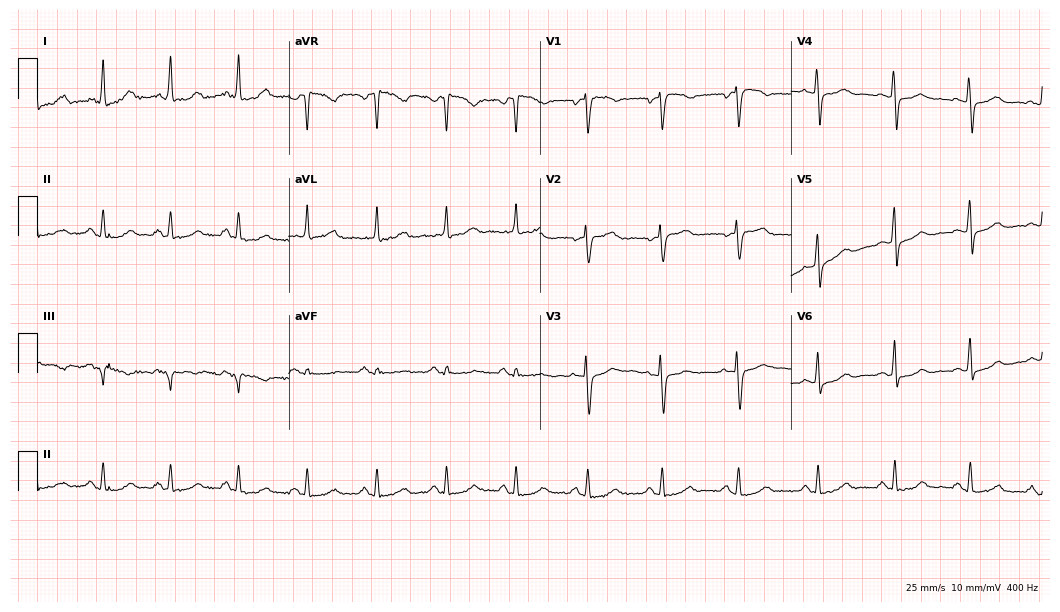
Electrocardiogram, a female, 55 years old. Of the six screened findings (first-degree AV block, right bundle branch block, left bundle branch block, sinus bradycardia, atrial fibrillation, sinus tachycardia), none is recorded.